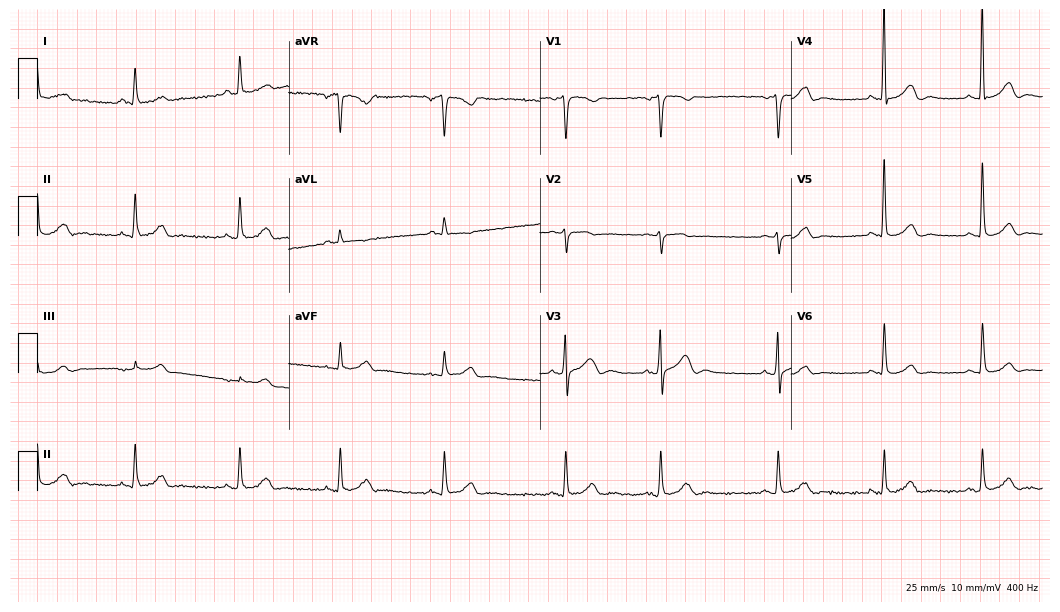
ECG (10.2-second recording at 400 Hz) — a 70-year-old man. Labelled as a normal ECG.